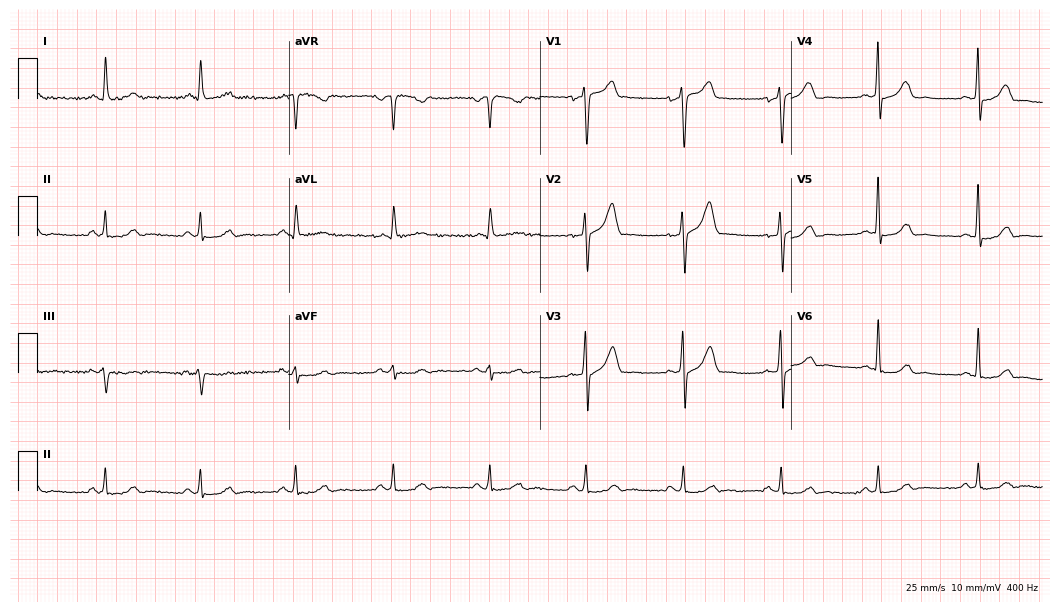
12-lead ECG (10.2-second recording at 400 Hz) from a 52-year-old man. Screened for six findings — first-degree AV block, right bundle branch block, left bundle branch block, sinus bradycardia, atrial fibrillation, sinus tachycardia — none is recorded. Other findings, if any, are not listed.